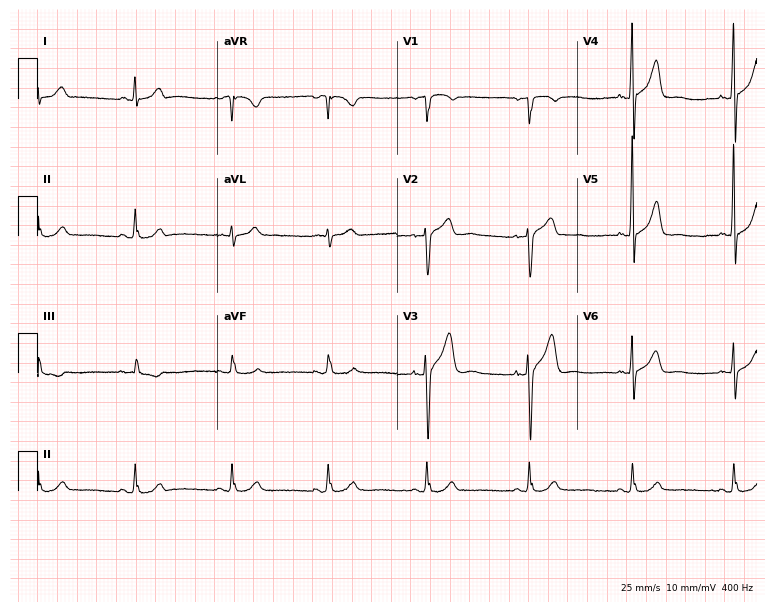
Resting 12-lead electrocardiogram. Patient: a 61-year-old man. Read as a normal ECG.